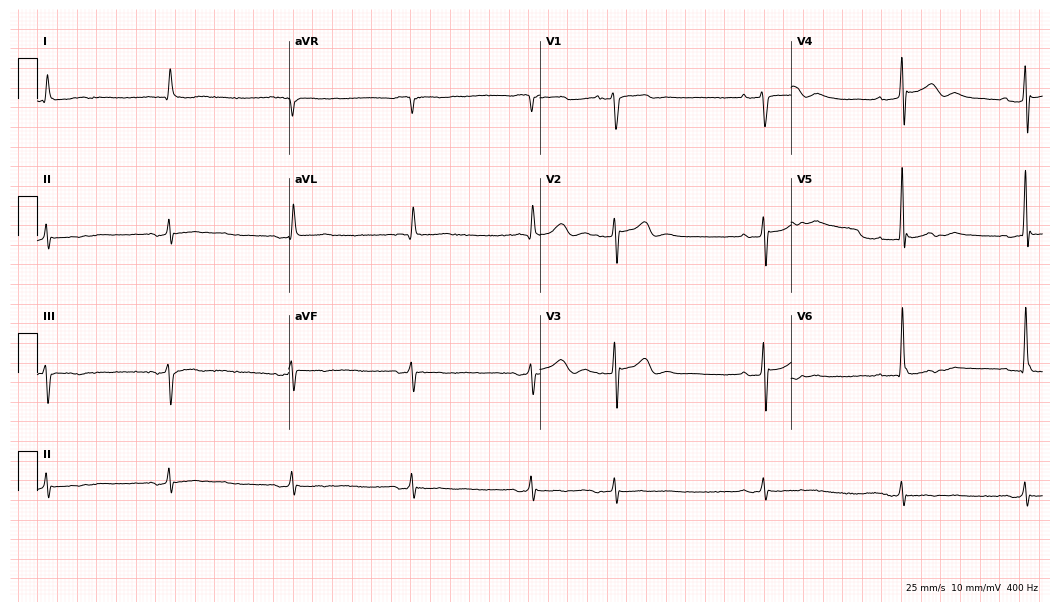
ECG — a female patient, 78 years old. Labelled as a normal ECG.